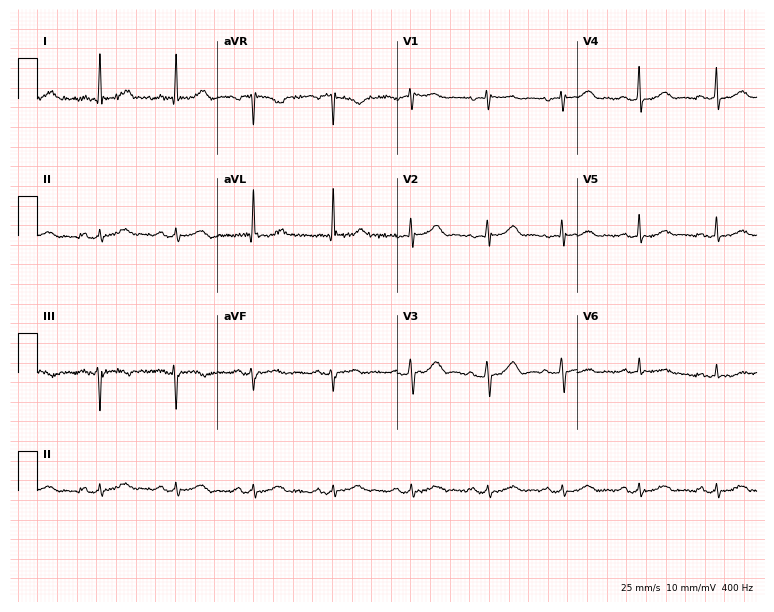
Electrocardiogram, a 50-year-old woman. Of the six screened findings (first-degree AV block, right bundle branch block (RBBB), left bundle branch block (LBBB), sinus bradycardia, atrial fibrillation (AF), sinus tachycardia), none is recorded. Only these six findings were labelled.